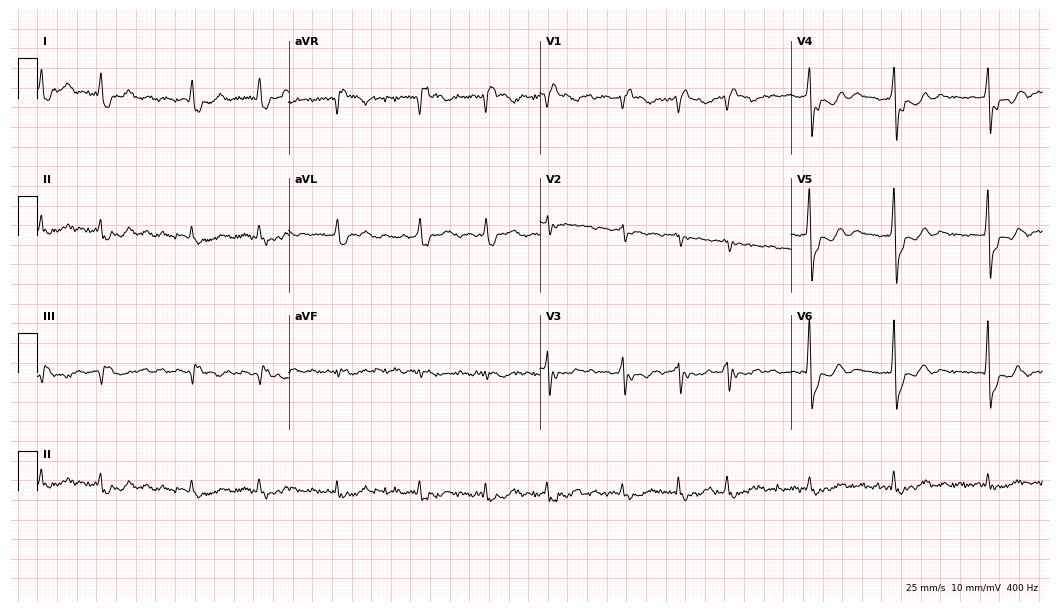
Electrocardiogram (10.2-second recording at 400 Hz), a male patient, 81 years old. Interpretation includes right bundle branch block, atrial fibrillation.